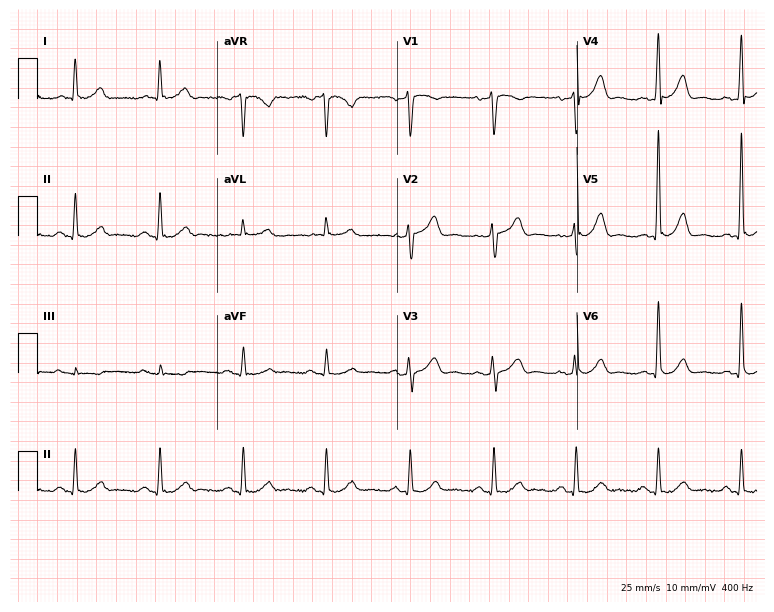
Standard 12-lead ECG recorded from a 57-year-old male patient. Read as a normal ECG.